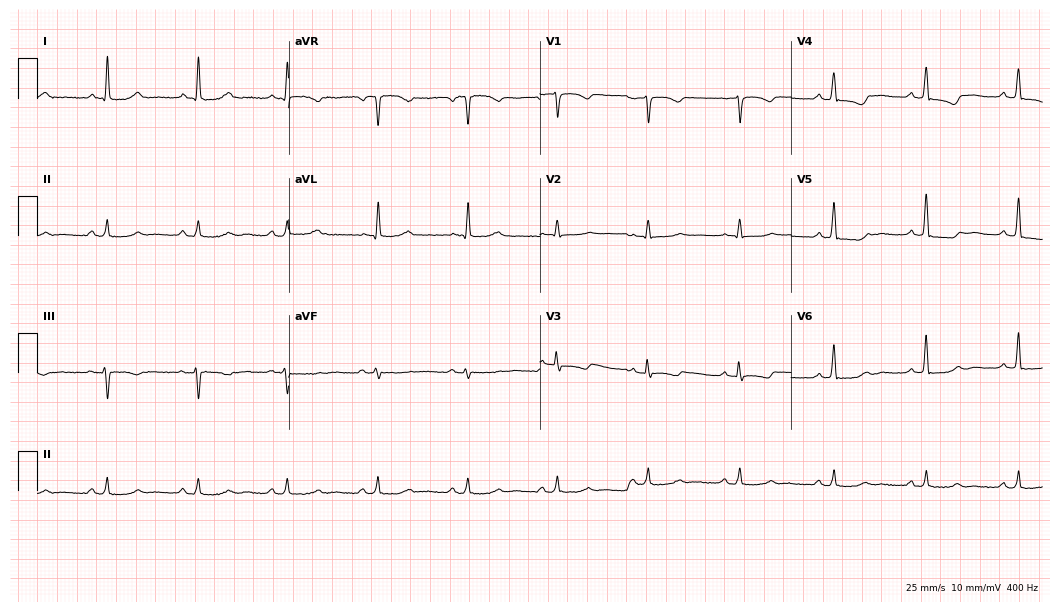
12-lead ECG from a female, 63 years old. No first-degree AV block, right bundle branch block (RBBB), left bundle branch block (LBBB), sinus bradycardia, atrial fibrillation (AF) or sinus tachycardia recorded for this tracing.